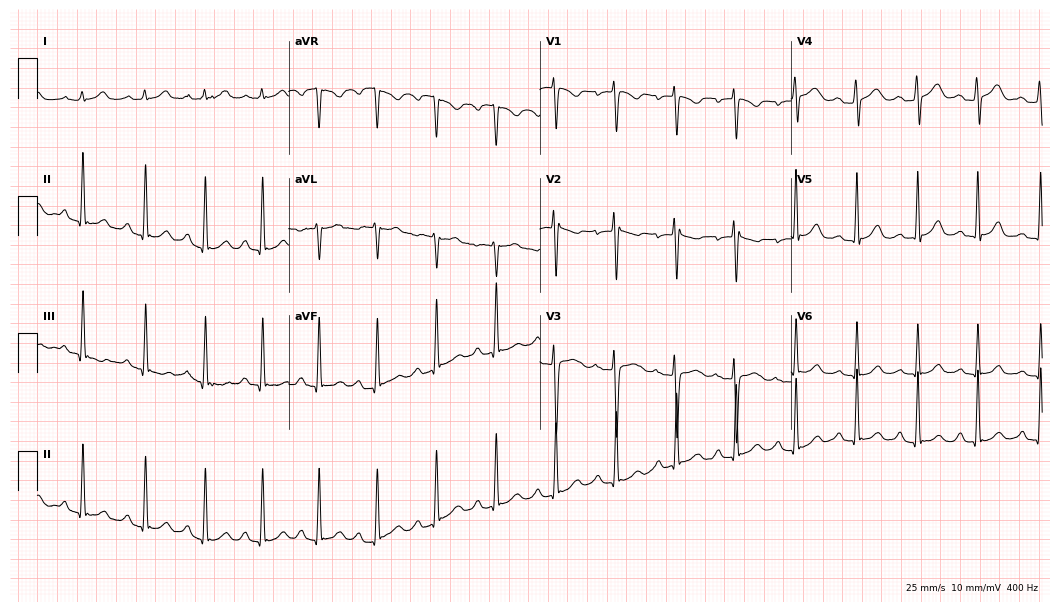
ECG (10.2-second recording at 400 Hz) — a 27-year-old female patient. Screened for six findings — first-degree AV block, right bundle branch block (RBBB), left bundle branch block (LBBB), sinus bradycardia, atrial fibrillation (AF), sinus tachycardia — none is recorded. Findings outside these six are not listed.